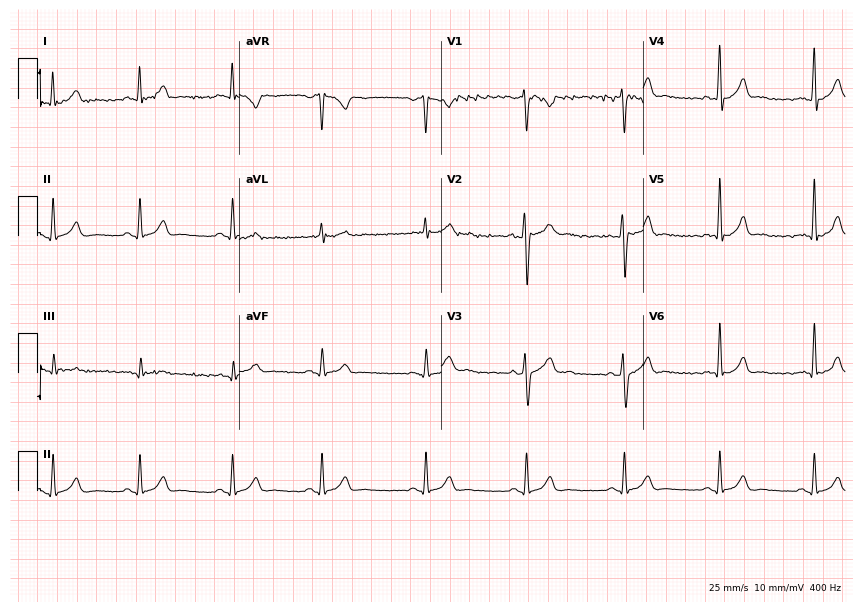
Resting 12-lead electrocardiogram. Patient: a male, 24 years old. Read as a normal ECG.